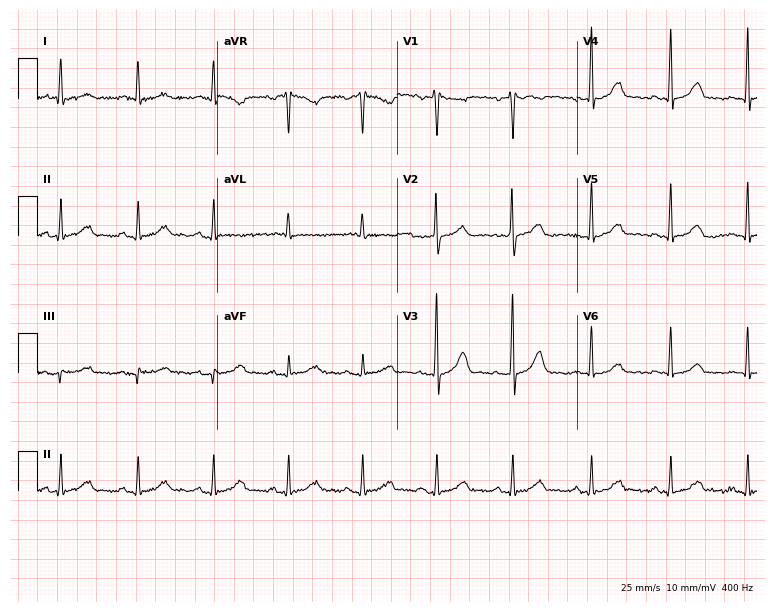
12-lead ECG from a 37-year-old man. Recorded interpretation: within normal limits.